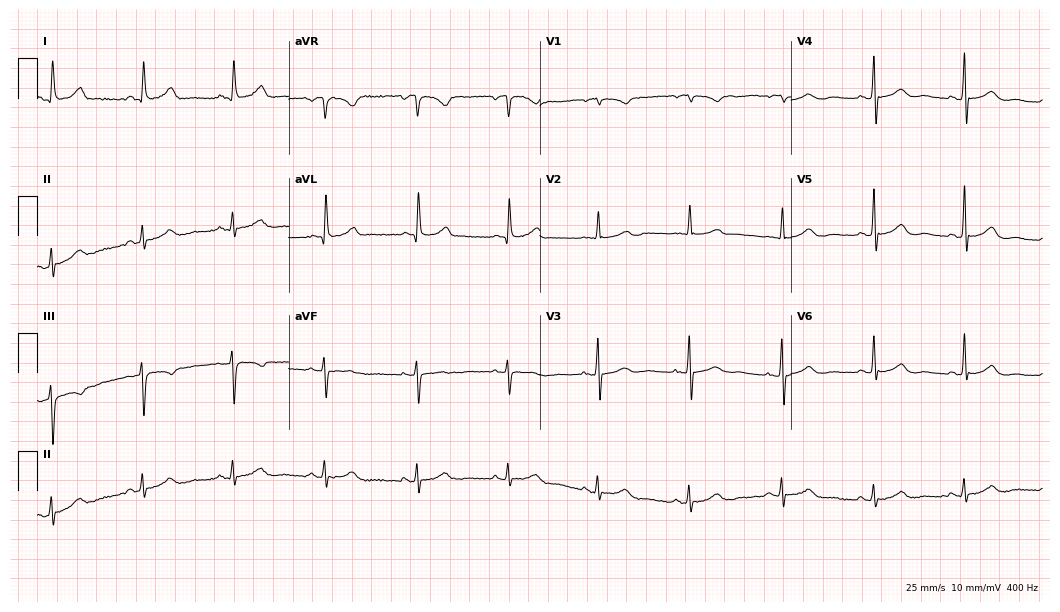
12-lead ECG from a woman, 80 years old. Labelled as a normal ECG.